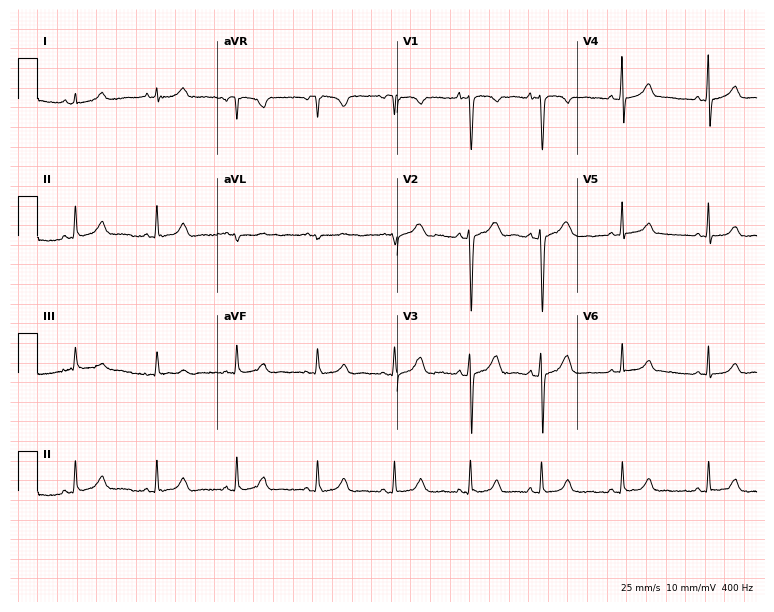
Standard 12-lead ECG recorded from a woman, 19 years old (7.3-second recording at 400 Hz). Read as a normal ECG.